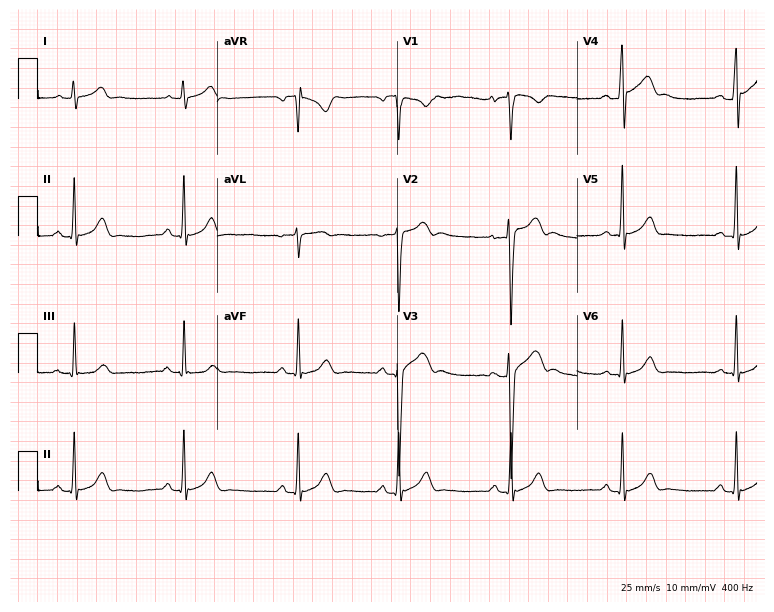
ECG — a male, 25 years old. Screened for six findings — first-degree AV block, right bundle branch block, left bundle branch block, sinus bradycardia, atrial fibrillation, sinus tachycardia — none is recorded. Findings outside these six are not listed.